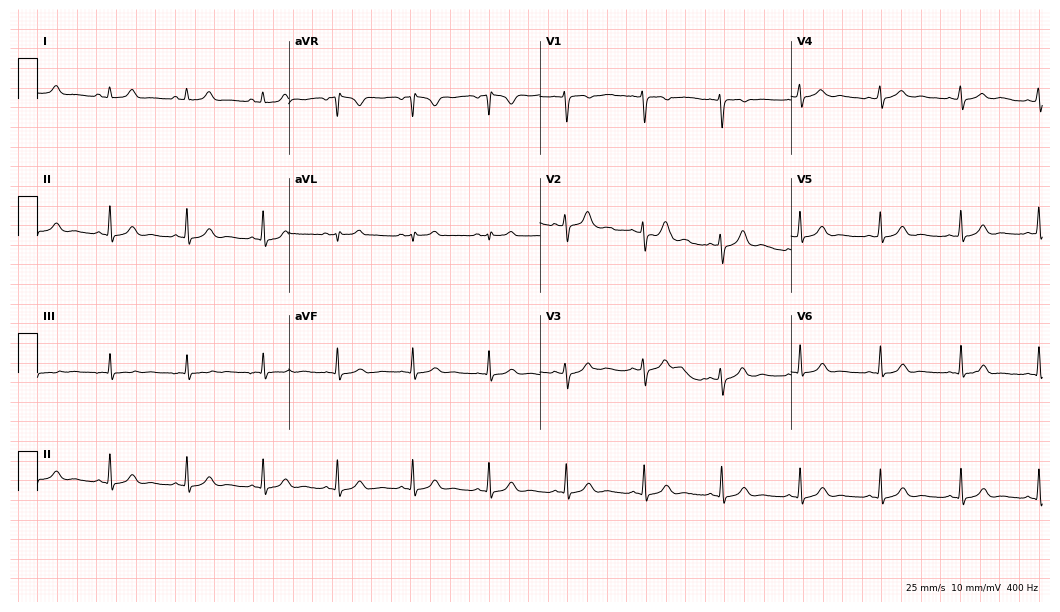
Resting 12-lead electrocardiogram (10.2-second recording at 400 Hz). Patient: a female, 19 years old. Read as a normal ECG.